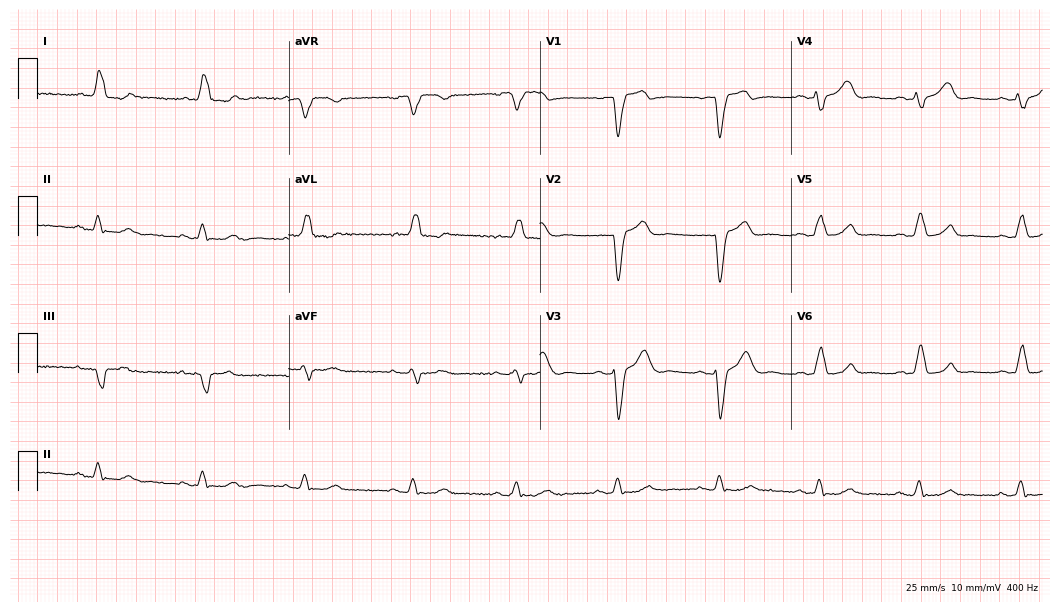
Electrocardiogram, an 80-year-old female patient. Interpretation includes left bundle branch block.